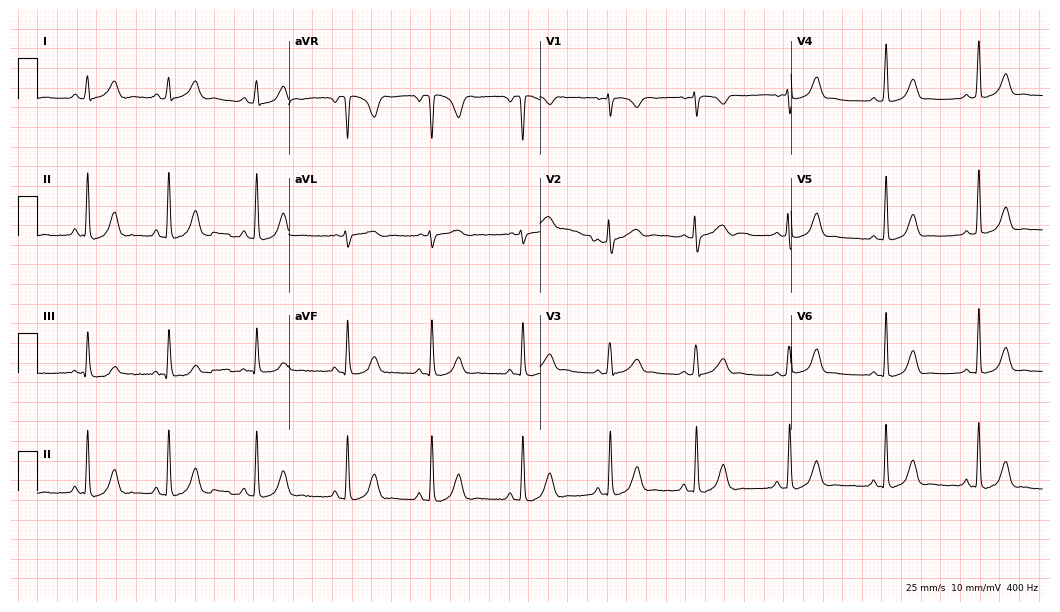
Electrocardiogram, a woman, 26 years old. Overall reading on record: normal ECG.